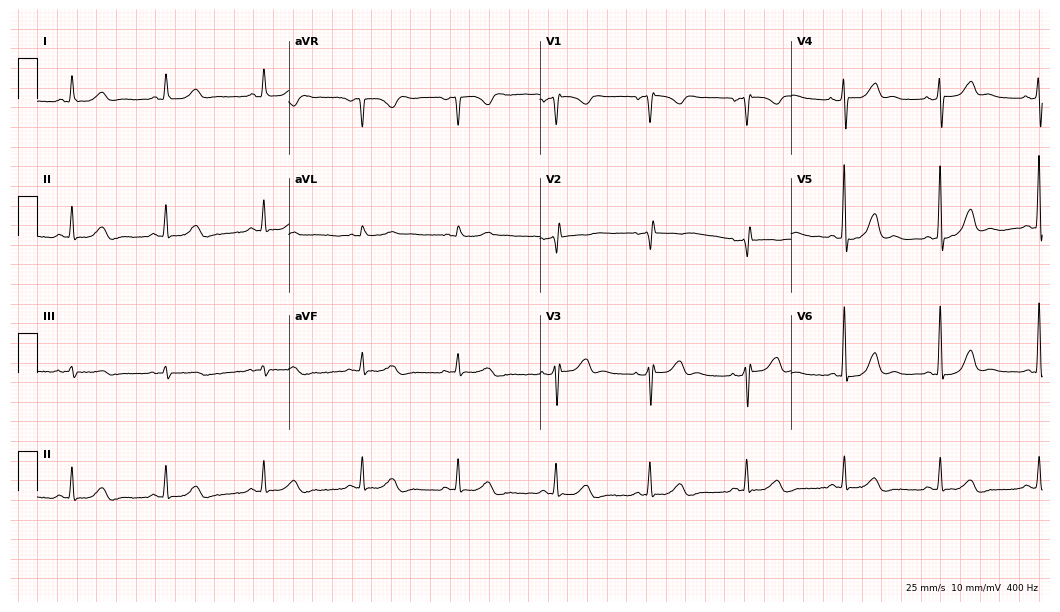
ECG (10.2-second recording at 400 Hz) — a 54-year-old woman. Labelled as a normal ECG.